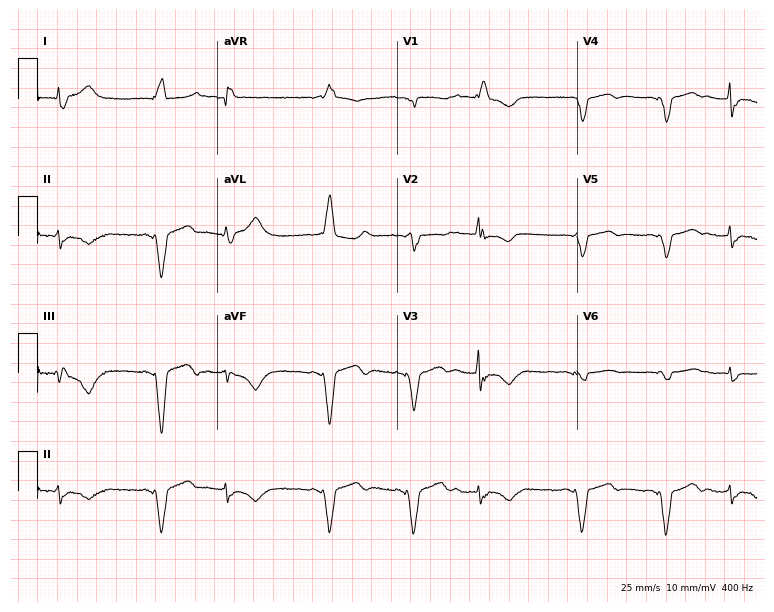
Electrocardiogram, a female, 81 years old. Of the six screened findings (first-degree AV block, right bundle branch block, left bundle branch block, sinus bradycardia, atrial fibrillation, sinus tachycardia), none is recorded.